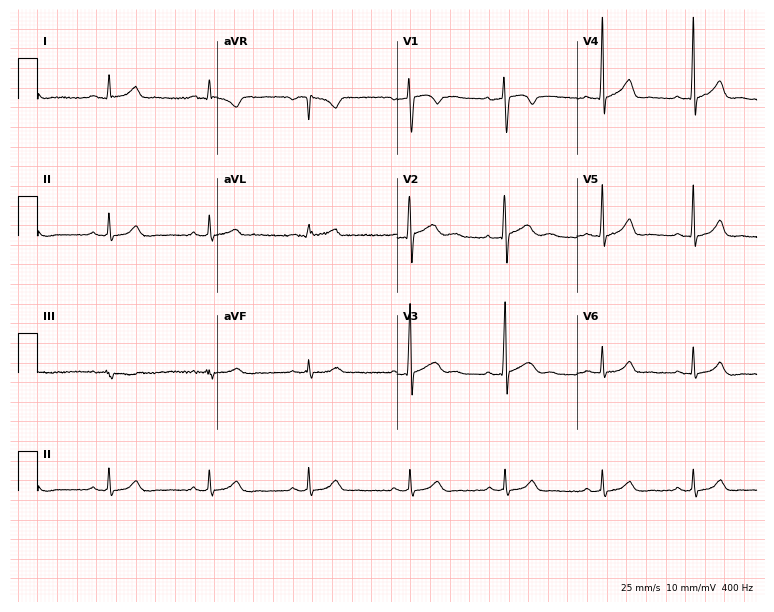
Electrocardiogram (7.3-second recording at 400 Hz), a 31-year-old man. Of the six screened findings (first-degree AV block, right bundle branch block, left bundle branch block, sinus bradycardia, atrial fibrillation, sinus tachycardia), none is recorded. Other findings, if any, are not listed.